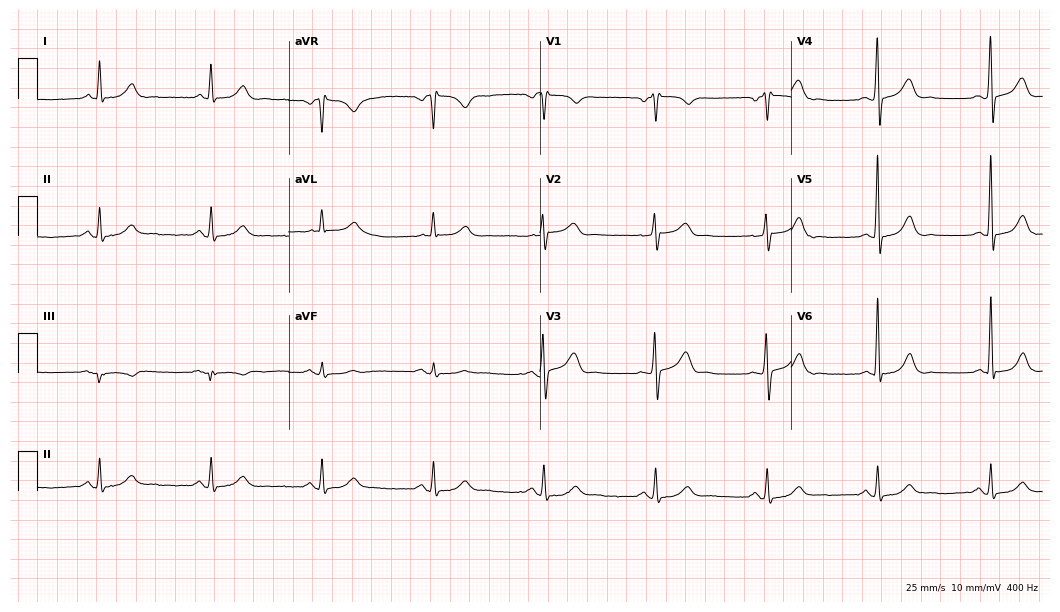
12-lead ECG from a male patient, 65 years old. Screened for six findings — first-degree AV block, right bundle branch block, left bundle branch block, sinus bradycardia, atrial fibrillation, sinus tachycardia — none is recorded. Only these six findings were labelled.